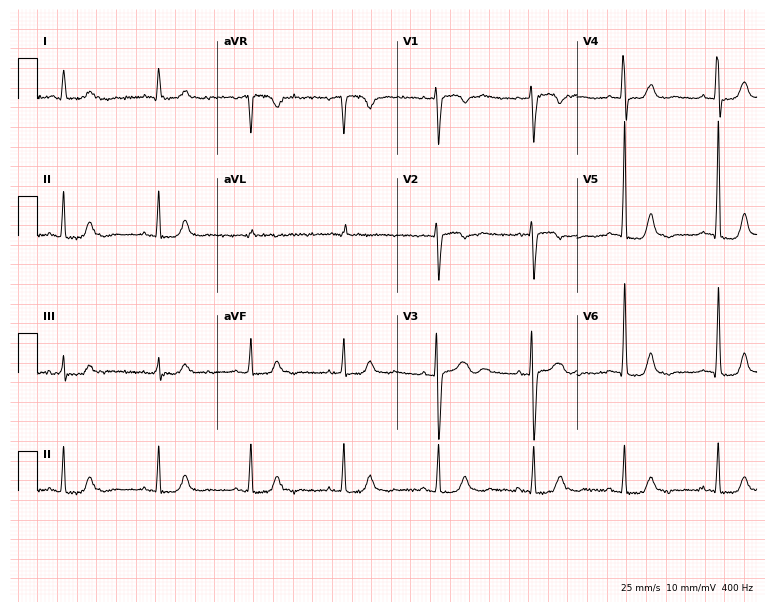
ECG — a female, 77 years old. Screened for six findings — first-degree AV block, right bundle branch block, left bundle branch block, sinus bradycardia, atrial fibrillation, sinus tachycardia — none is recorded. Findings outside these six are not listed.